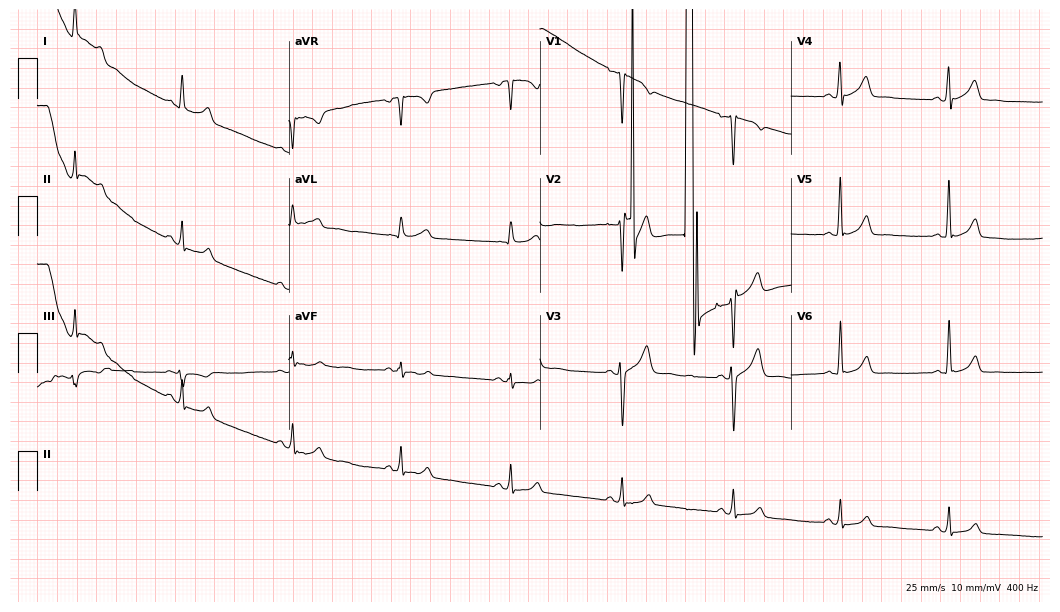
Resting 12-lead electrocardiogram. Patient: a male, 38 years old. None of these six findings is recorded: first-degree AV block, right bundle branch block, left bundle branch block, sinus bradycardia, atrial fibrillation, sinus tachycardia.